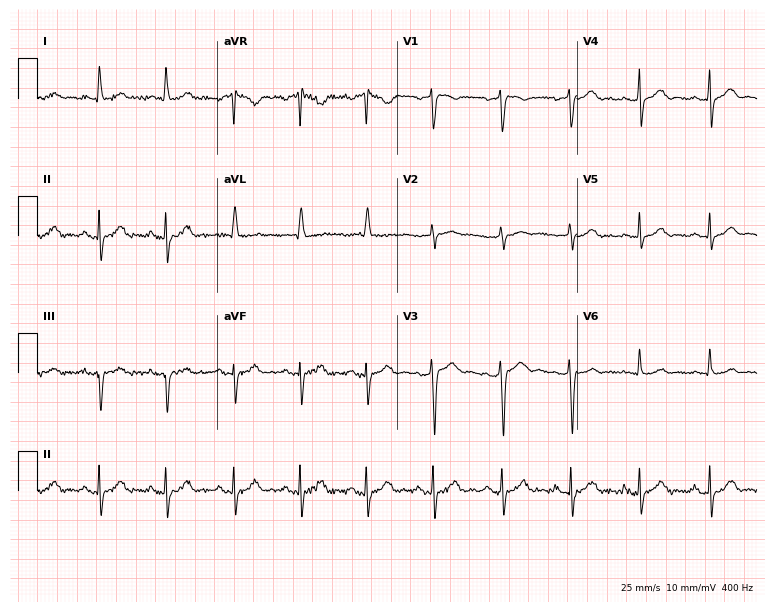
Resting 12-lead electrocardiogram. Patient: a woman, 47 years old. Read as a normal ECG.